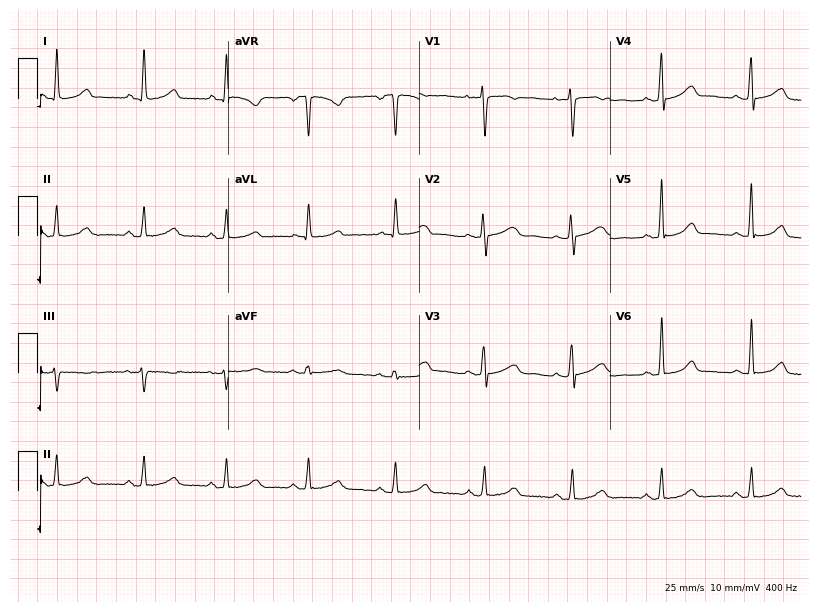
12-lead ECG from a 34-year-old female. Screened for six findings — first-degree AV block, right bundle branch block, left bundle branch block, sinus bradycardia, atrial fibrillation, sinus tachycardia — none is recorded.